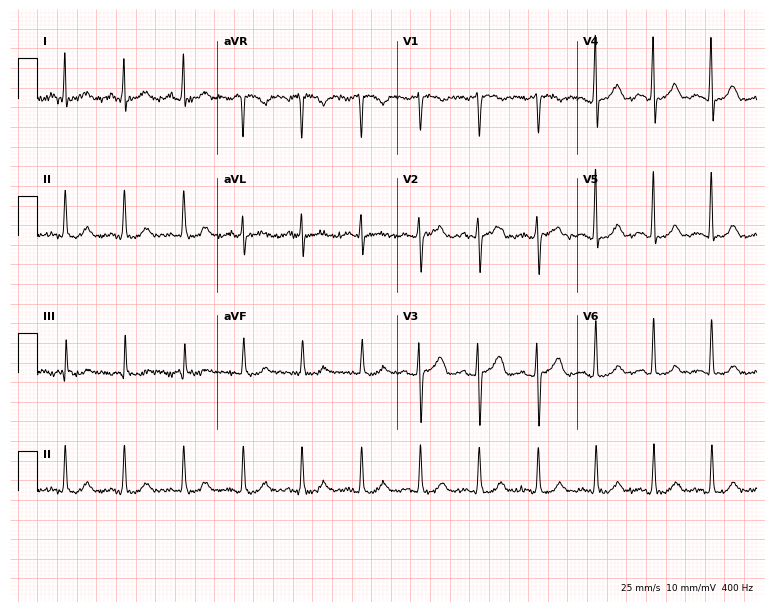
Standard 12-lead ECG recorded from a 51-year-old male patient (7.3-second recording at 400 Hz). The tracing shows sinus tachycardia (a sinus rate of 100 beats per minute or more).